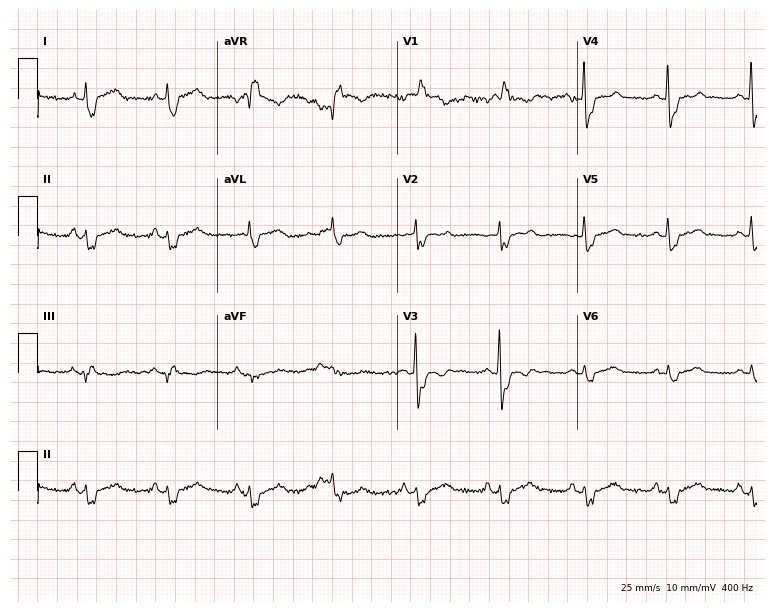
Standard 12-lead ECG recorded from a male, 60 years old (7.3-second recording at 400 Hz). The tracing shows right bundle branch block.